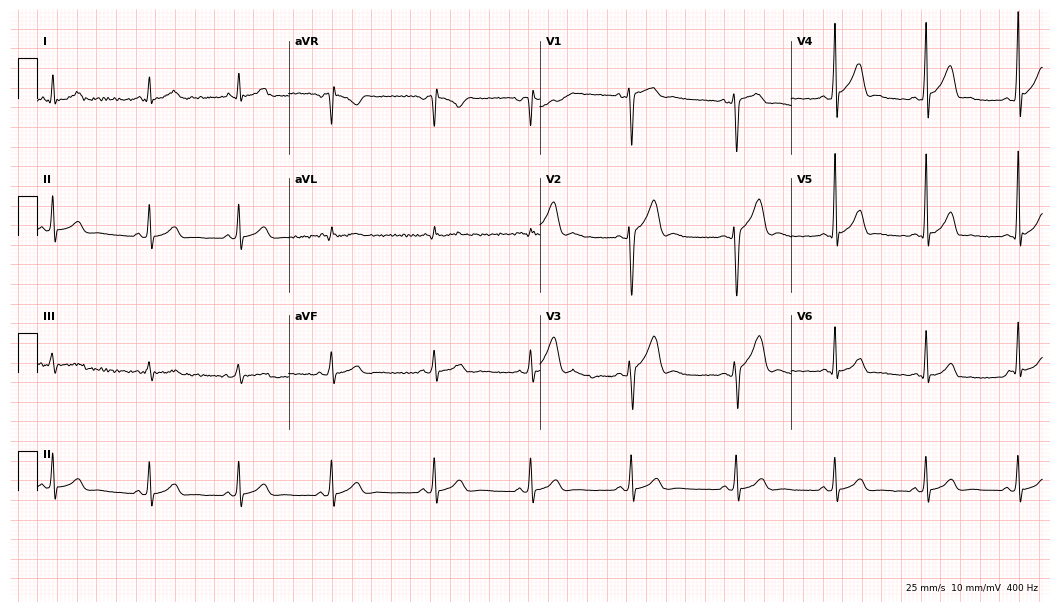
Resting 12-lead electrocardiogram (10.2-second recording at 400 Hz). Patient: a 23-year-old man. None of these six findings is recorded: first-degree AV block, right bundle branch block, left bundle branch block, sinus bradycardia, atrial fibrillation, sinus tachycardia. Other findings, if any, are not listed.